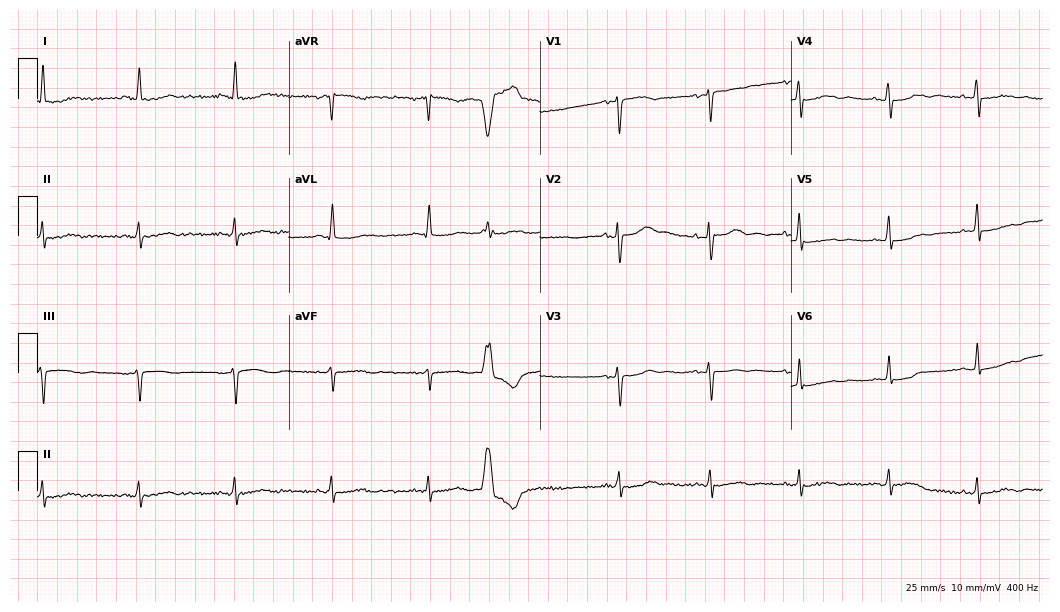
Resting 12-lead electrocardiogram. Patient: a 53-year-old woman. None of these six findings is recorded: first-degree AV block, right bundle branch block, left bundle branch block, sinus bradycardia, atrial fibrillation, sinus tachycardia.